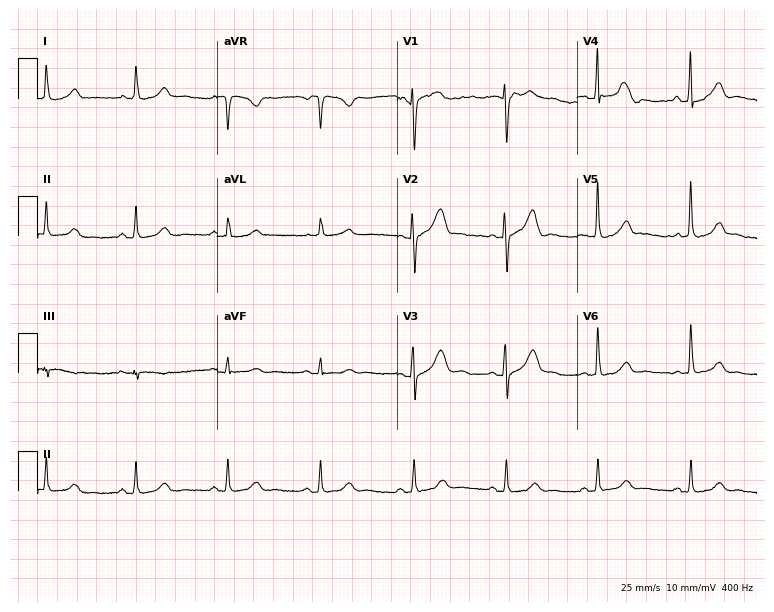
Resting 12-lead electrocardiogram. Patient: a 58-year-old female. Read as a normal ECG.